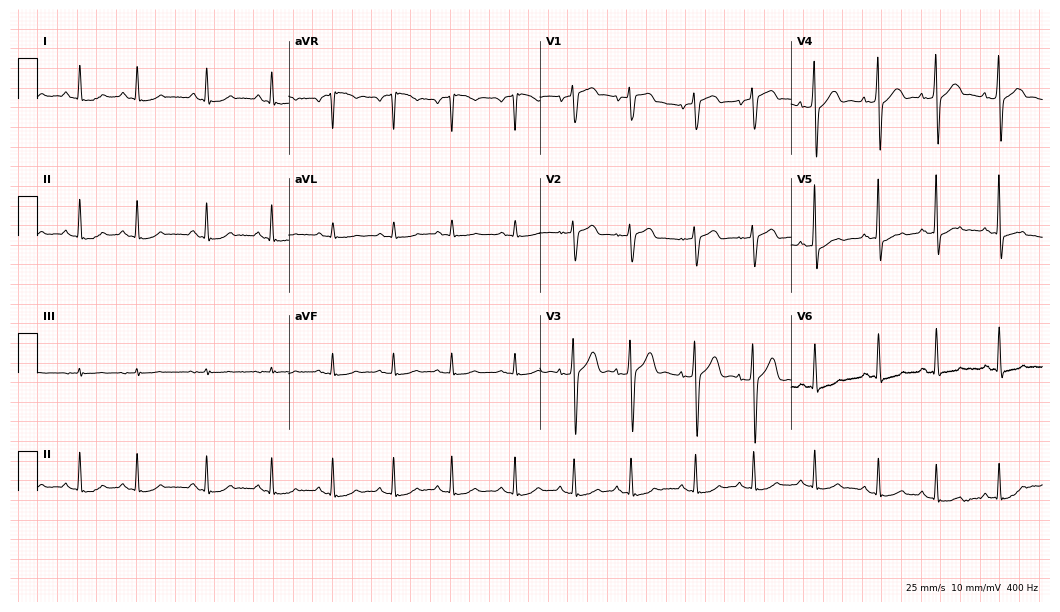
Standard 12-lead ECG recorded from a male, 83 years old (10.2-second recording at 400 Hz). Read as a normal ECG.